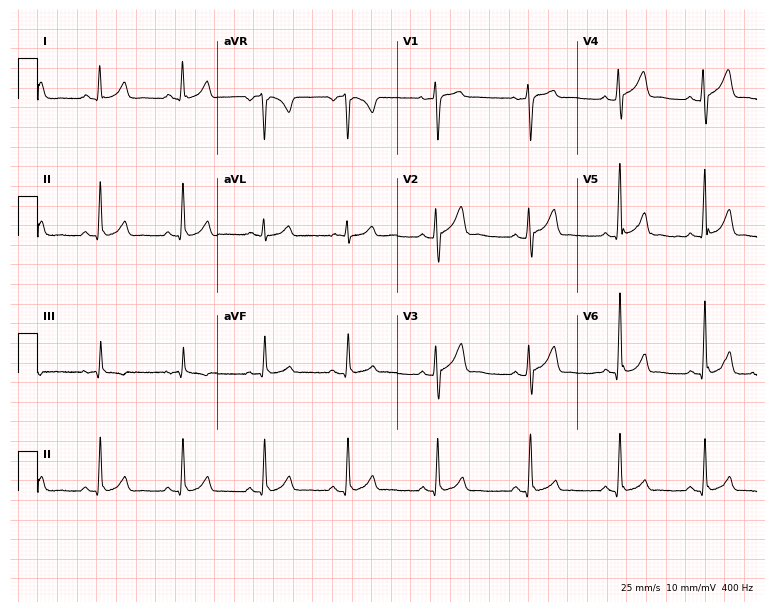
ECG (7.3-second recording at 400 Hz) — a 26-year-old man. Labelled as a normal ECG.